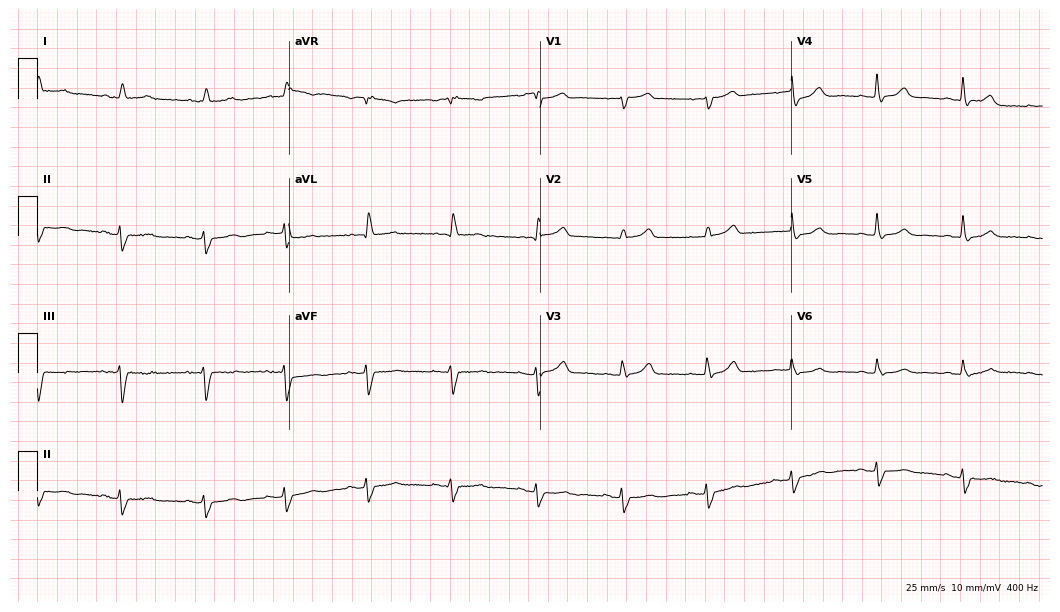
Resting 12-lead electrocardiogram. Patient: a woman, 75 years old. None of these six findings is recorded: first-degree AV block, right bundle branch block, left bundle branch block, sinus bradycardia, atrial fibrillation, sinus tachycardia. Only these six findings were labelled.